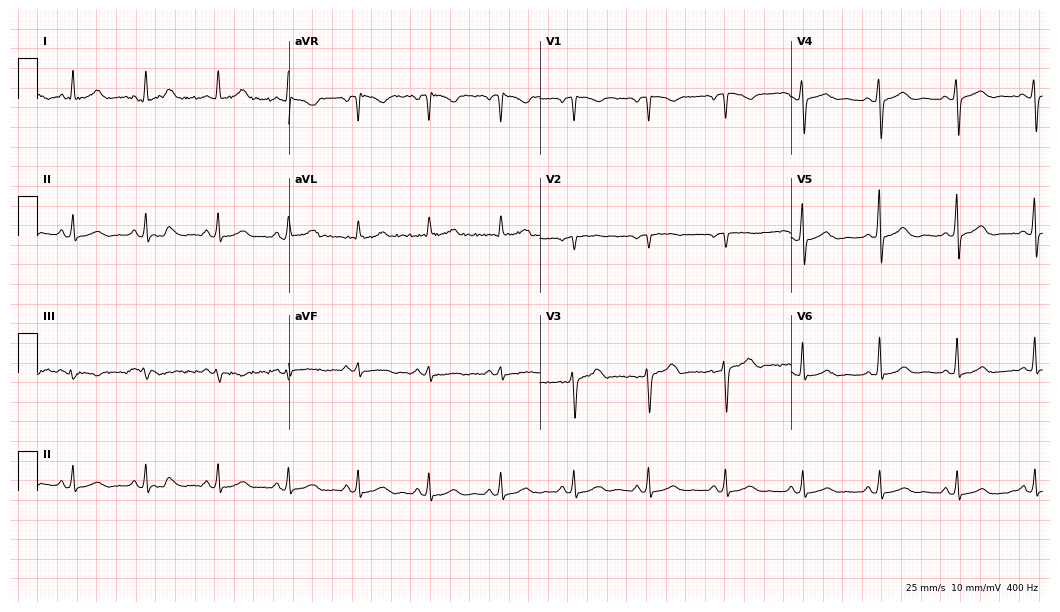
ECG (10.2-second recording at 400 Hz) — a 39-year-old female. Screened for six findings — first-degree AV block, right bundle branch block, left bundle branch block, sinus bradycardia, atrial fibrillation, sinus tachycardia — none is recorded. Findings outside these six are not listed.